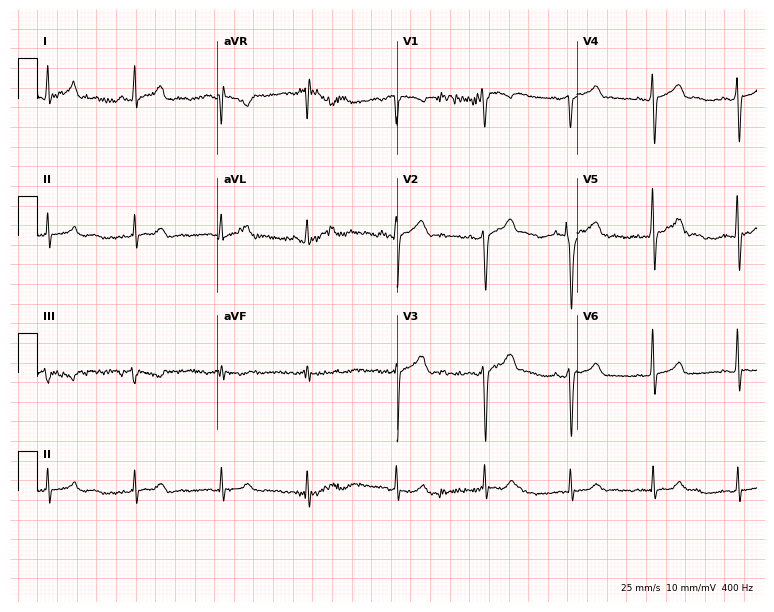
12-lead ECG from a 30-year-old man. Recorded interpretation: within normal limits.